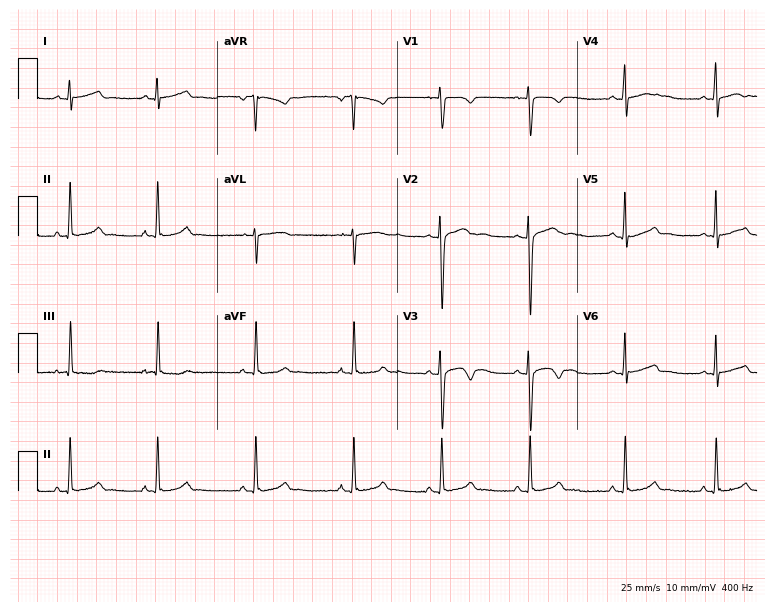
12-lead ECG (7.3-second recording at 400 Hz) from a woman, 19 years old. Labelled as a normal ECG.